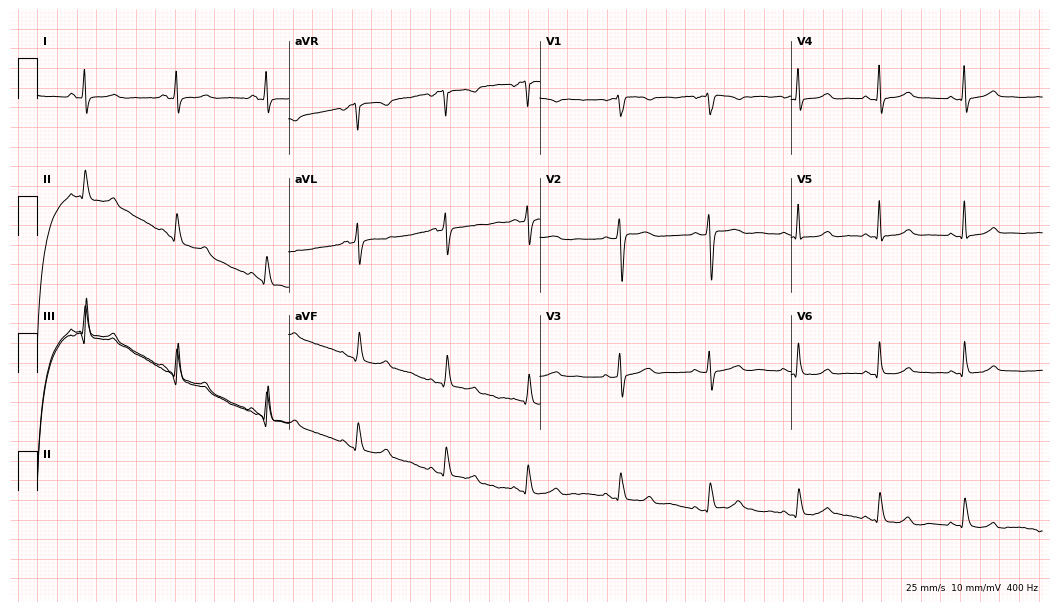
Electrocardiogram (10.2-second recording at 400 Hz), a 50-year-old female. Overall reading on record: normal ECG.